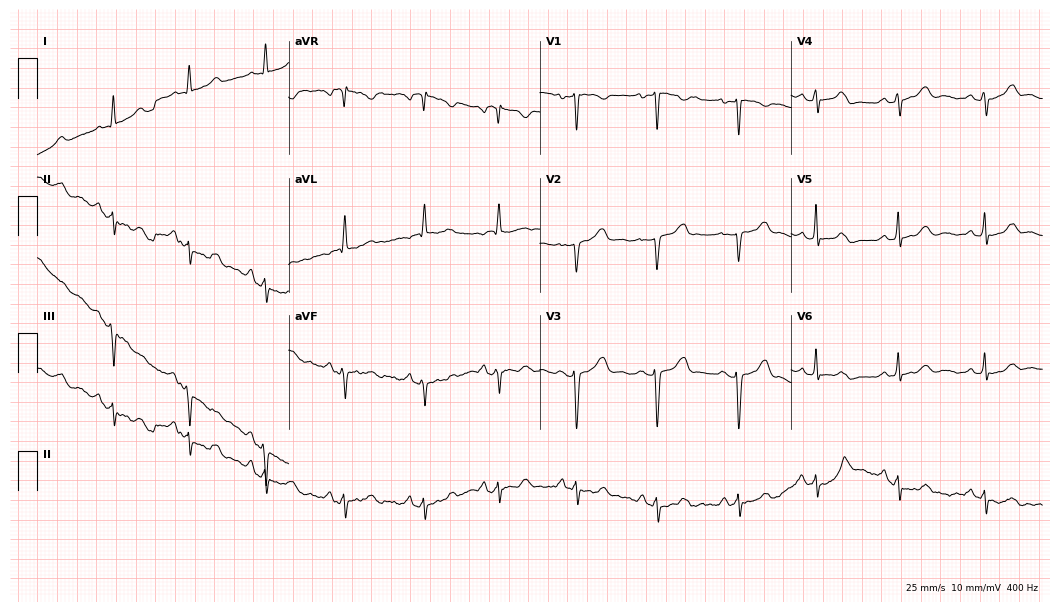
ECG (10.2-second recording at 400 Hz) — a woman, 59 years old. Screened for six findings — first-degree AV block, right bundle branch block, left bundle branch block, sinus bradycardia, atrial fibrillation, sinus tachycardia — none is recorded.